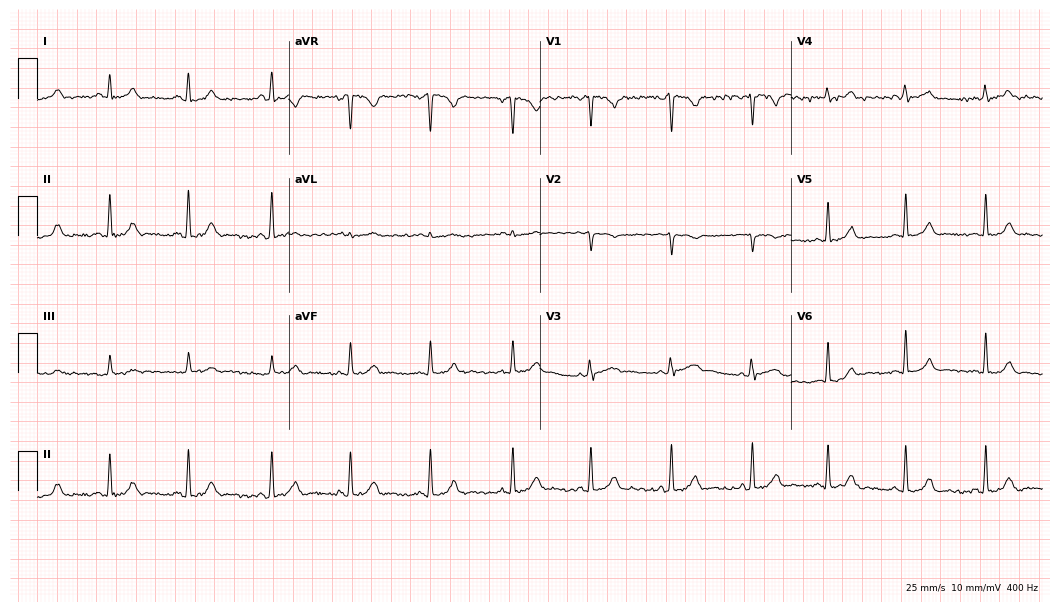
Resting 12-lead electrocardiogram. Patient: a 24-year-old woman. None of these six findings is recorded: first-degree AV block, right bundle branch block, left bundle branch block, sinus bradycardia, atrial fibrillation, sinus tachycardia. Other findings, if any, are not listed.